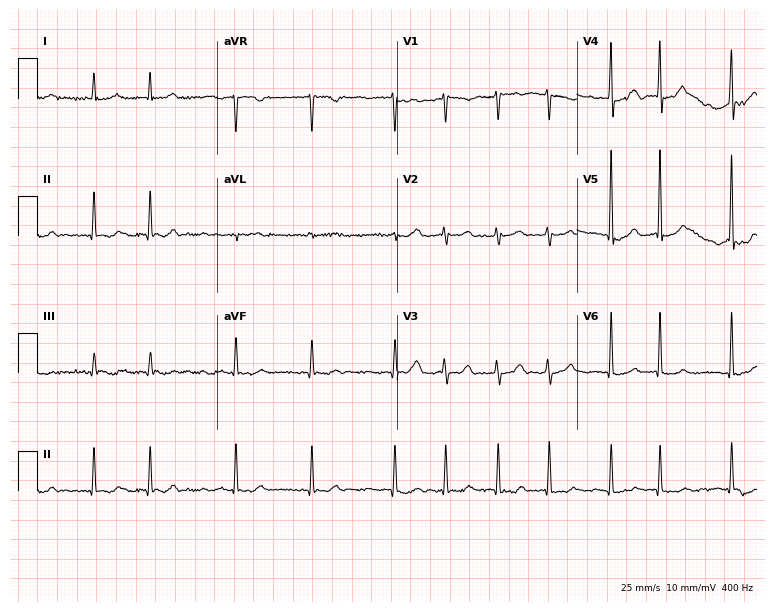
Standard 12-lead ECG recorded from a woman, 78 years old. The tracing shows atrial fibrillation (AF).